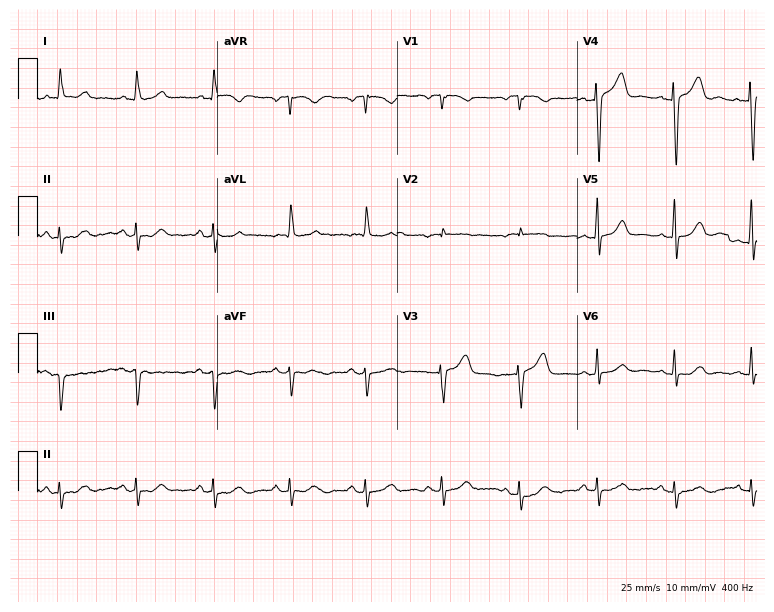
ECG — a female patient, 85 years old. Screened for six findings — first-degree AV block, right bundle branch block (RBBB), left bundle branch block (LBBB), sinus bradycardia, atrial fibrillation (AF), sinus tachycardia — none is recorded.